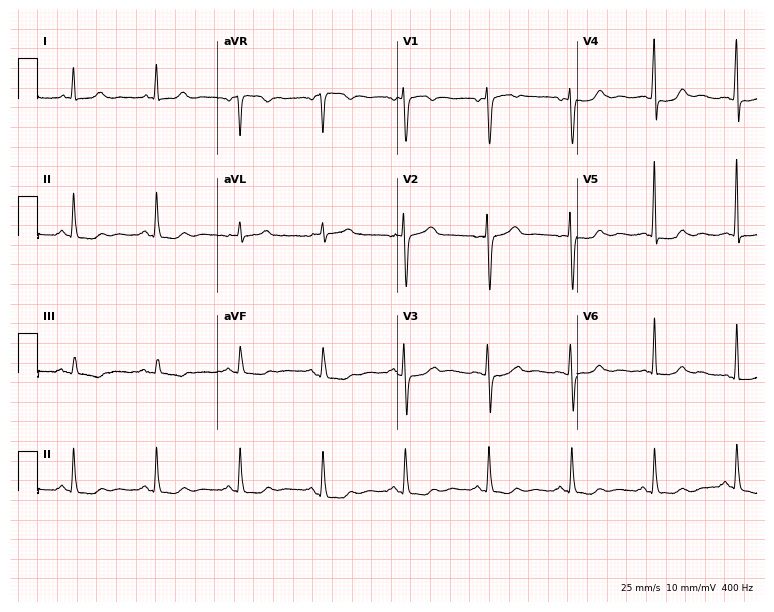
12-lead ECG (7.3-second recording at 400 Hz) from a 59-year-old woman. Screened for six findings — first-degree AV block, right bundle branch block, left bundle branch block, sinus bradycardia, atrial fibrillation, sinus tachycardia — none is recorded. Only these six findings were labelled.